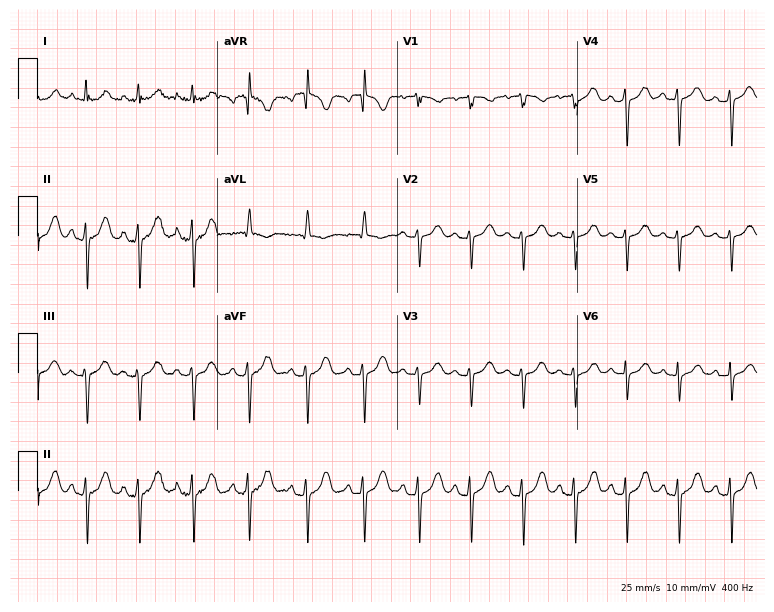
ECG (7.3-second recording at 400 Hz) — a 39-year-old female patient. Screened for six findings — first-degree AV block, right bundle branch block (RBBB), left bundle branch block (LBBB), sinus bradycardia, atrial fibrillation (AF), sinus tachycardia — none is recorded.